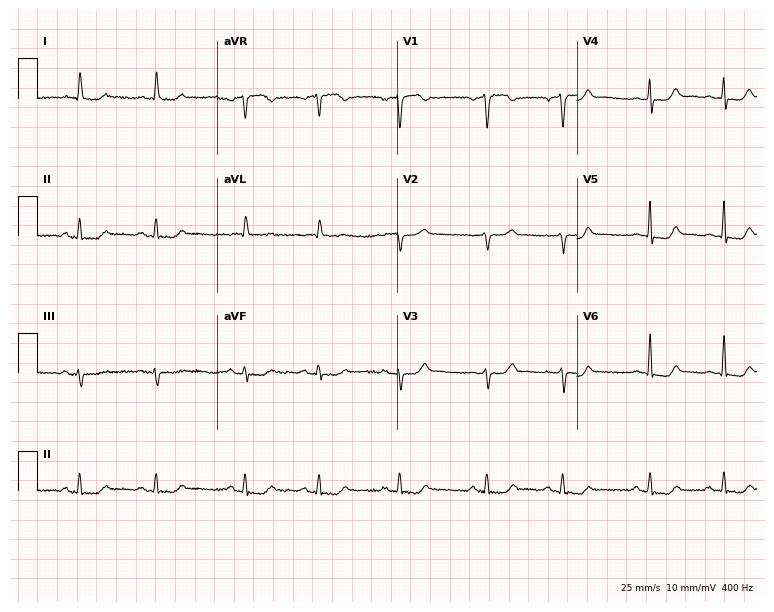
Resting 12-lead electrocardiogram (7.3-second recording at 400 Hz). Patient: a female, 69 years old. None of these six findings is recorded: first-degree AV block, right bundle branch block, left bundle branch block, sinus bradycardia, atrial fibrillation, sinus tachycardia. Findings outside these six are not listed.